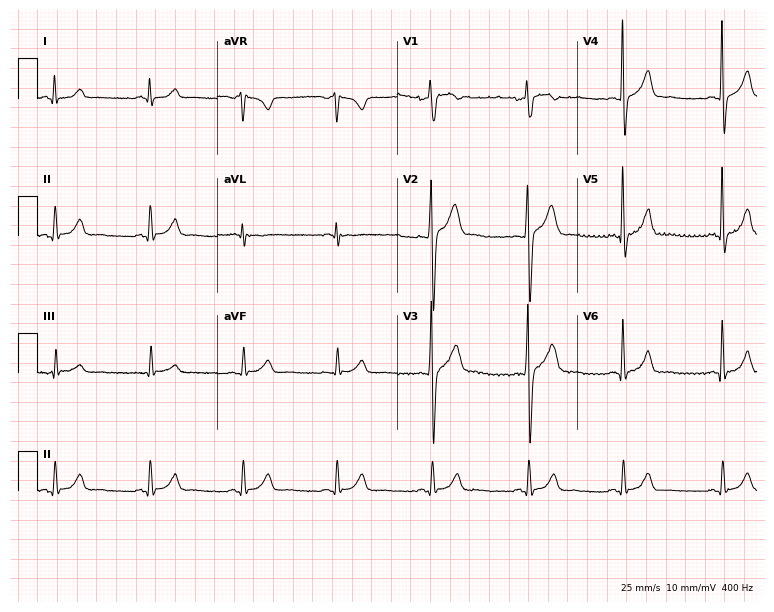
Resting 12-lead electrocardiogram. Patient: a 54-year-old male. Read as a normal ECG.